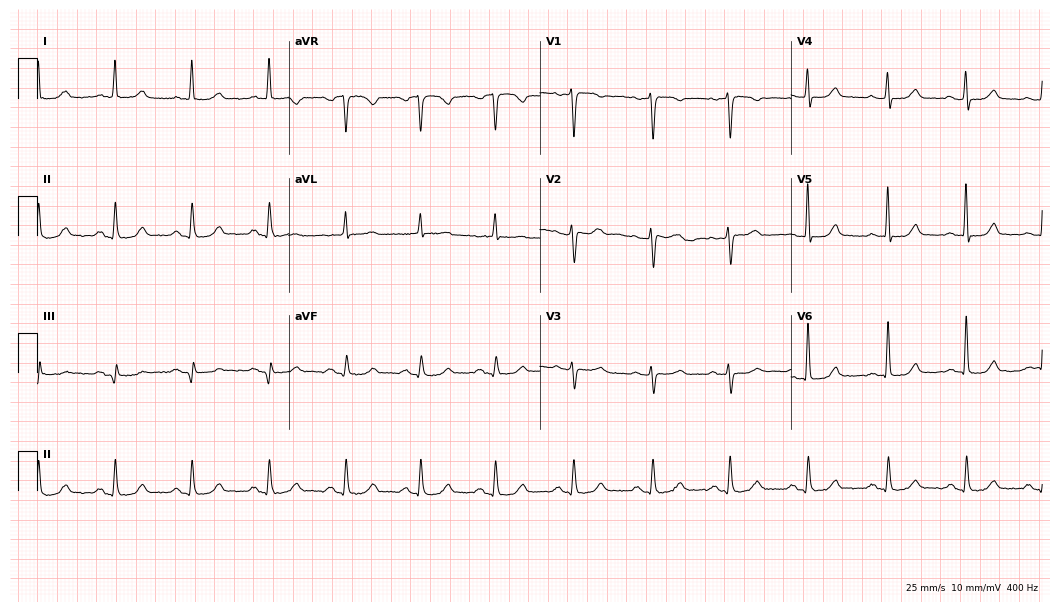
12-lead ECG from a female, 75 years old. Screened for six findings — first-degree AV block, right bundle branch block, left bundle branch block, sinus bradycardia, atrial fibrillation, sinus tachycardia — none is recorded.